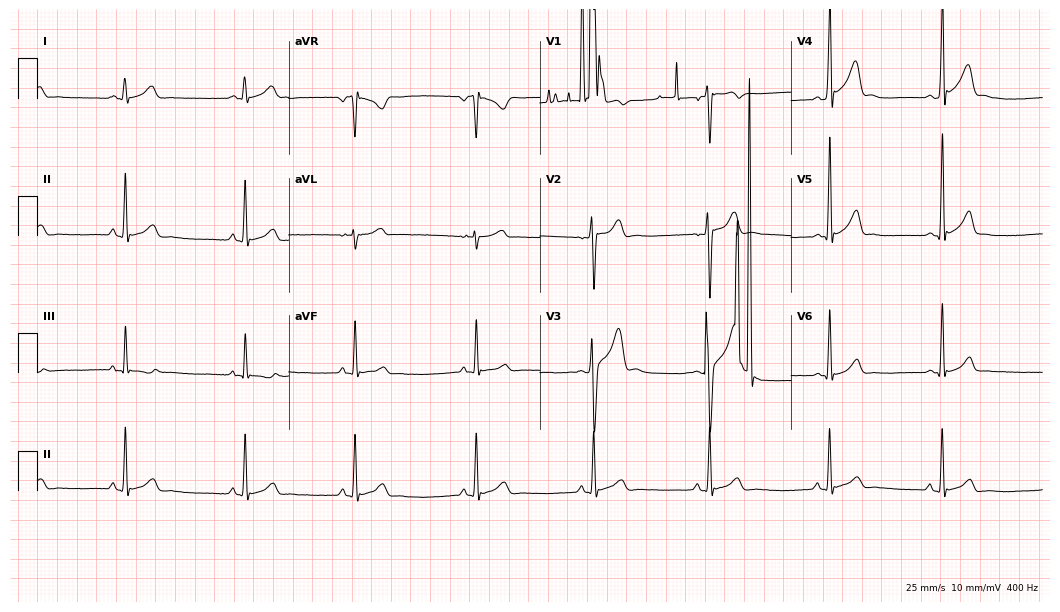
Electrocardiogram (10.2-second recording at 400 Hz), a 21-year-old male patient. Of the six screened findings (first-degree AV block, right bundle branch block, left bundle branch block, sinus bradycardia, atrial fibrillation, sinus tachycardia), none is recorded. Findings outside these six are not listed.